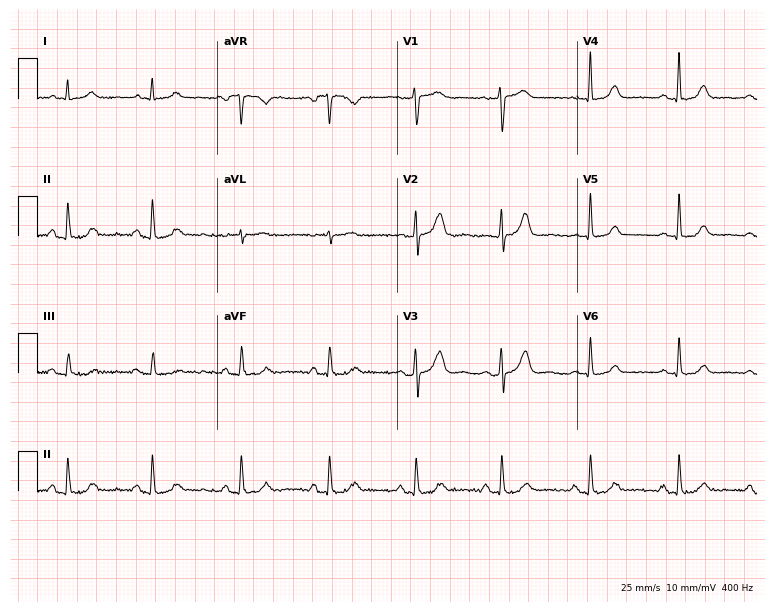
ECG — a female patient, 57 years old. Labelled as a normal ECG.